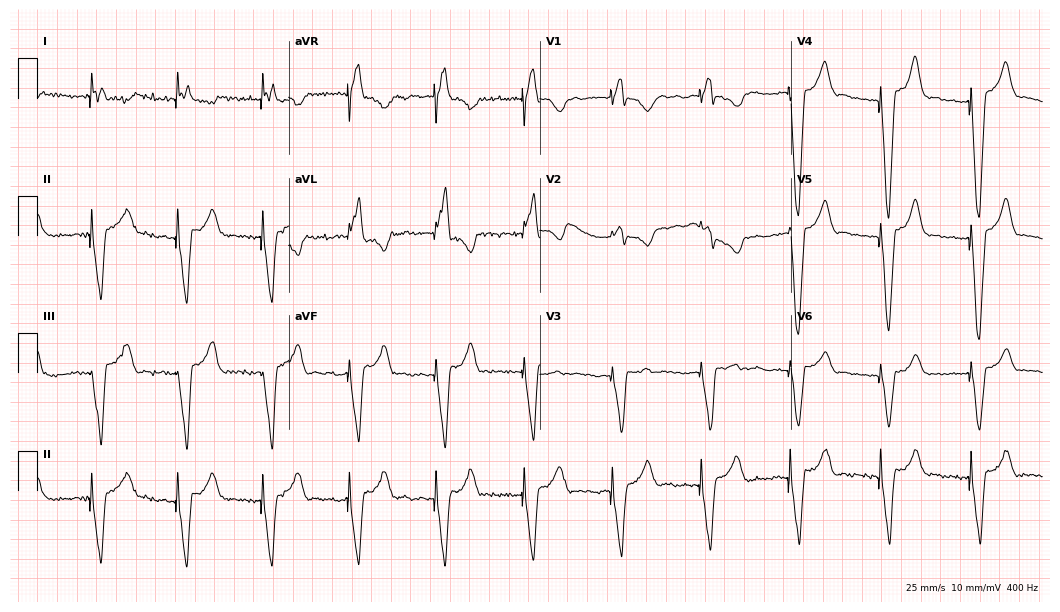
Resting 12-lead electrocardiogram. Patient: a female, 77 years old. None of these six findings is recorded: first-degree AV block, right bundle branch block, left bundle branch block, sinus bradycardia, atrial fibrillation, sinus tachycardia.